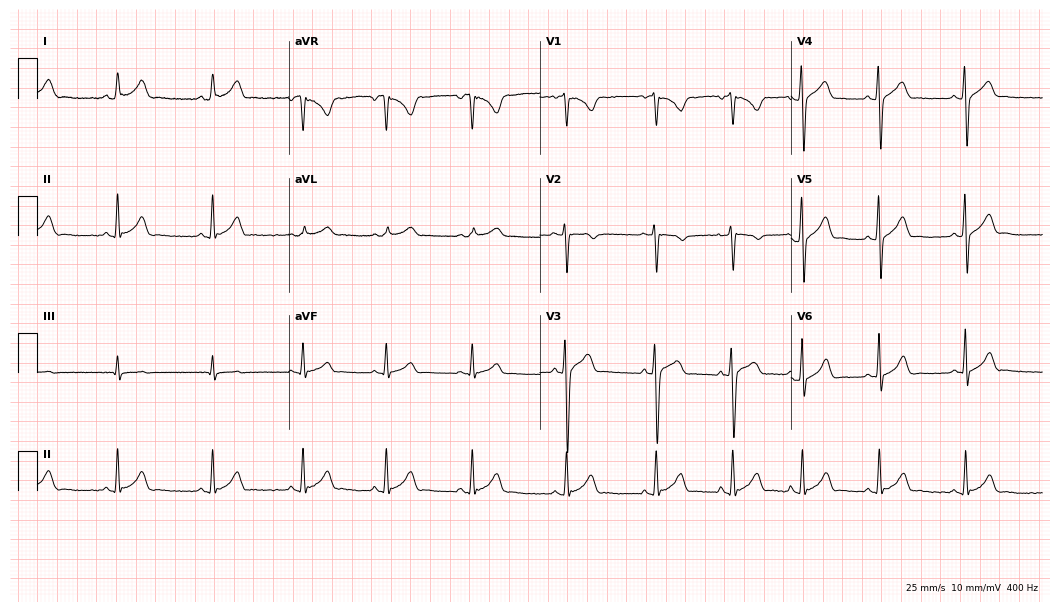
Standard 12-lead ECG recorded from a 20-year-old male. Read as a normal ECG.